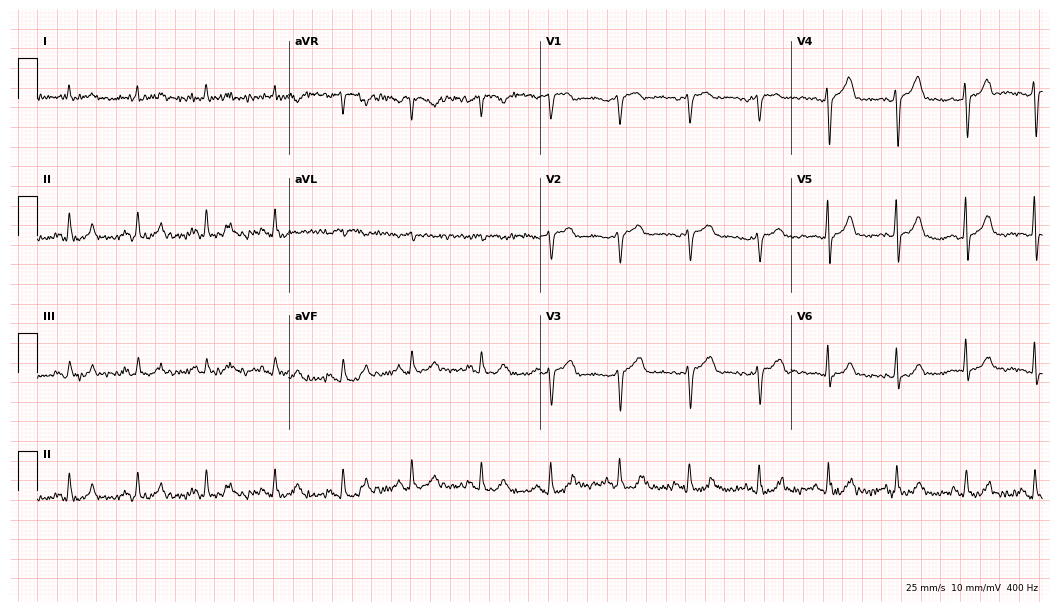
12-lead ECG from a man, 68 years old. No first-degree AV block, right bundle branch block, left bundle branch block, sinus bradycardia, atrial fibrillation or sinus tachycardia recorded for this tracing. Only these six findings were labelled.